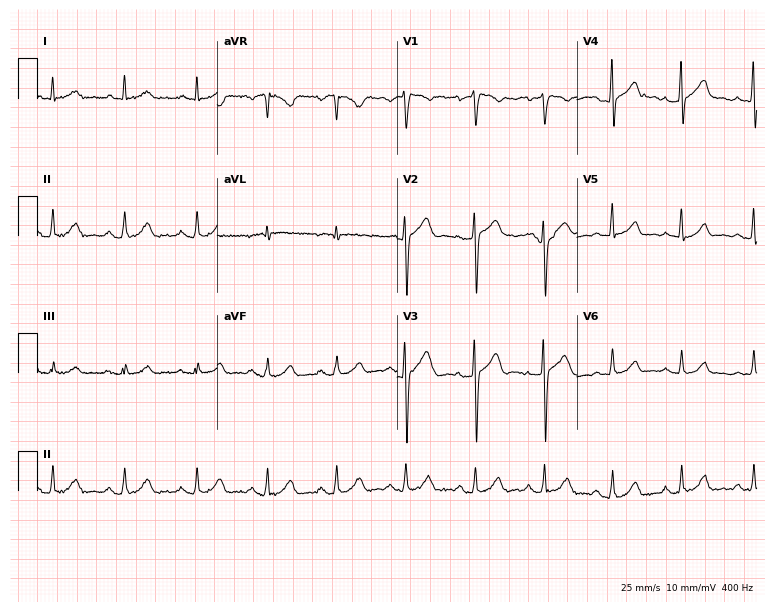
ECG — a 34-year-old male. Labelled as a normal ECG.